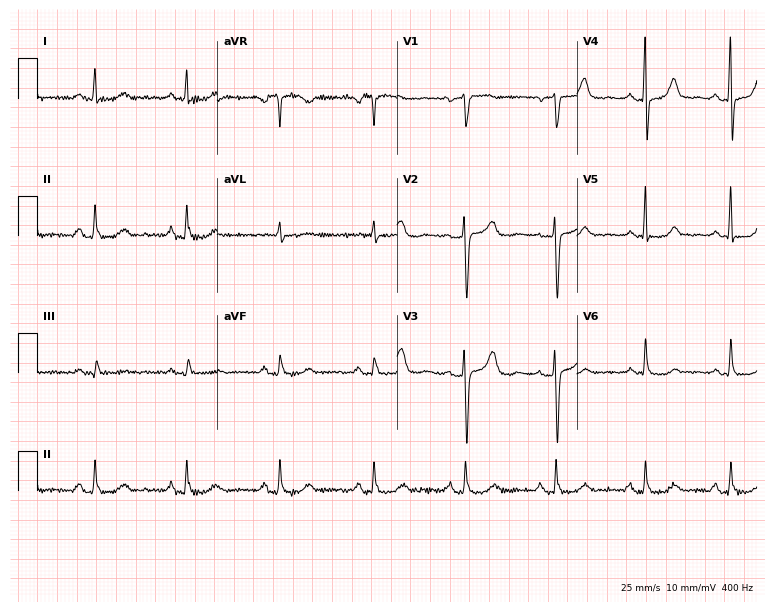
Standard 12-lead ECG recorded from a 46-year-old female patient (7.3-second recording at 400 Hz). Read as a normal ECG.